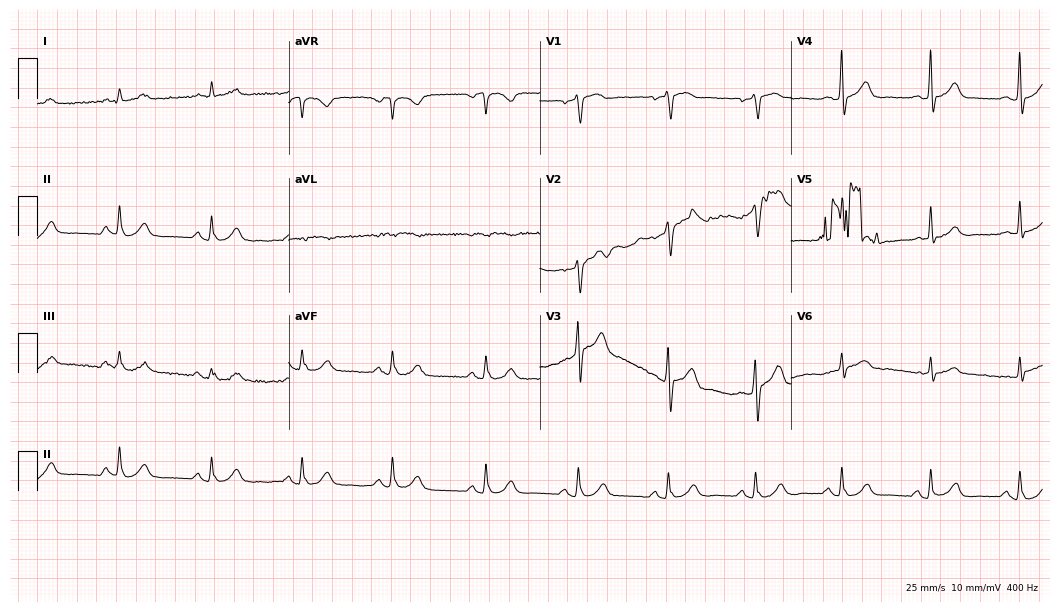
Electrocardiogram, a male patient, 74 years old. Overall reading on record: normal ECG.